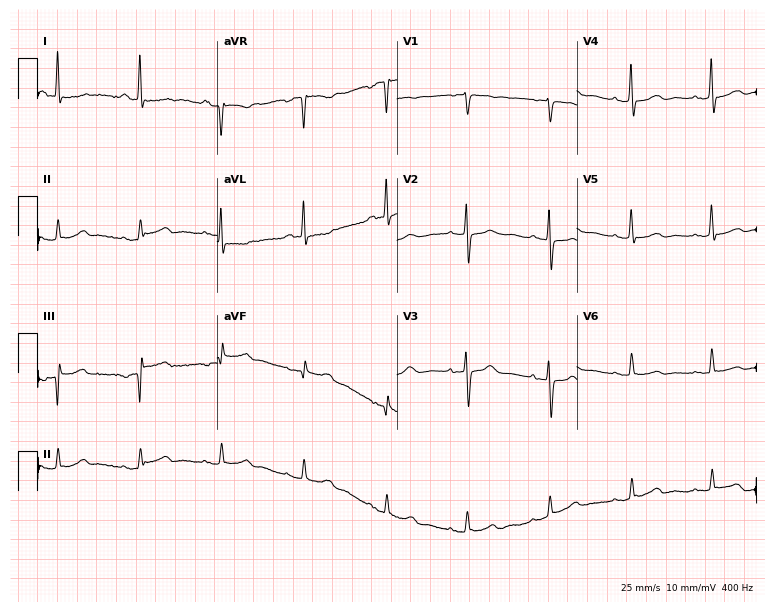
Standard 12-lead ECG recorded from a female, 76 years old (7.3-second recording at 400 Hz). None of these six findings is recorded: first-degree AV block, right bundle branch block, left bundle branch block, sinus bradycardia, atrial fibrillation, sinus tachycardia.